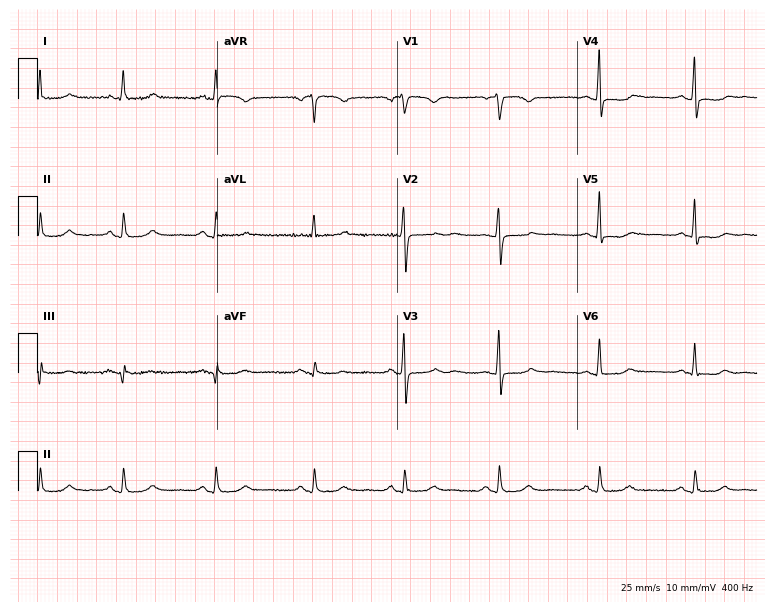
ECG (7.3-second recording at 400 Hz) — a 55-year-old female patient. Screened for six findings — first-degree AV block, right bundle branch block (RBBB), left bundle branch block (LBBB), sinus bradycardia, atrial fibrillation (AF), sinus tachycardia — none is recorded.